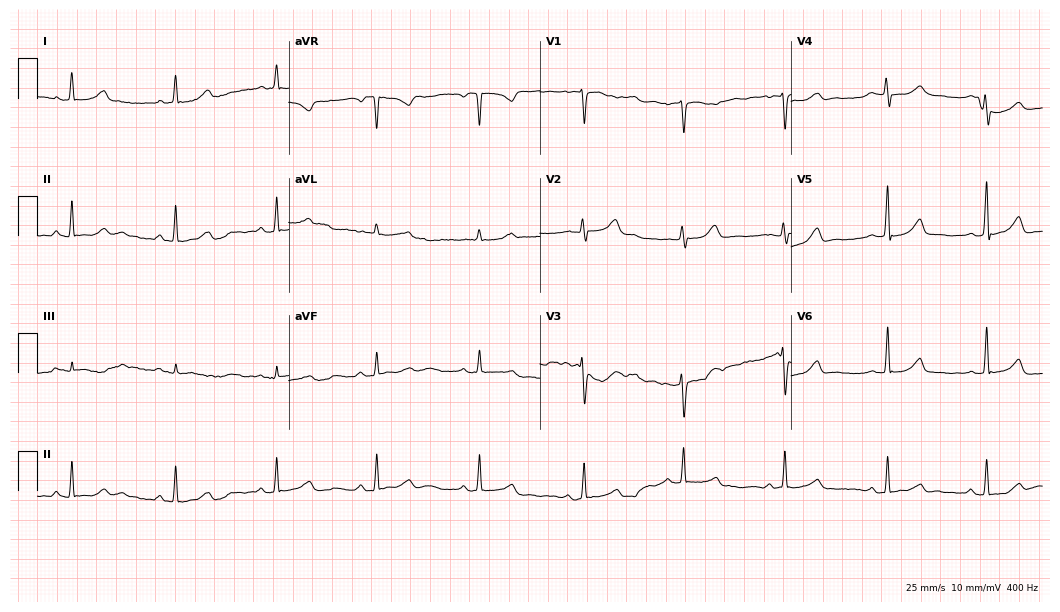
Electrocardiogram (10.2-second recording at 400 Hz), a 51-year-old female patient. Overall reading on record: normal ECG.